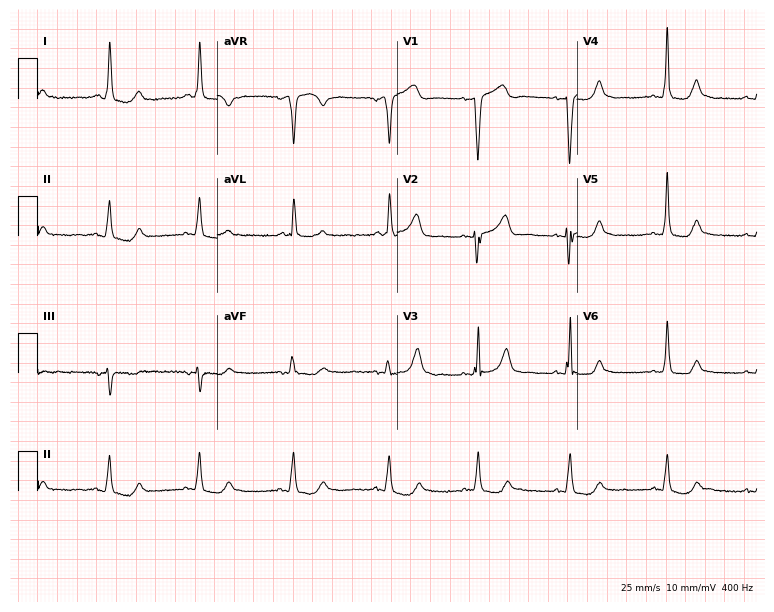
ECG — a 65-year-old woman. Labelled as a normal ECG.